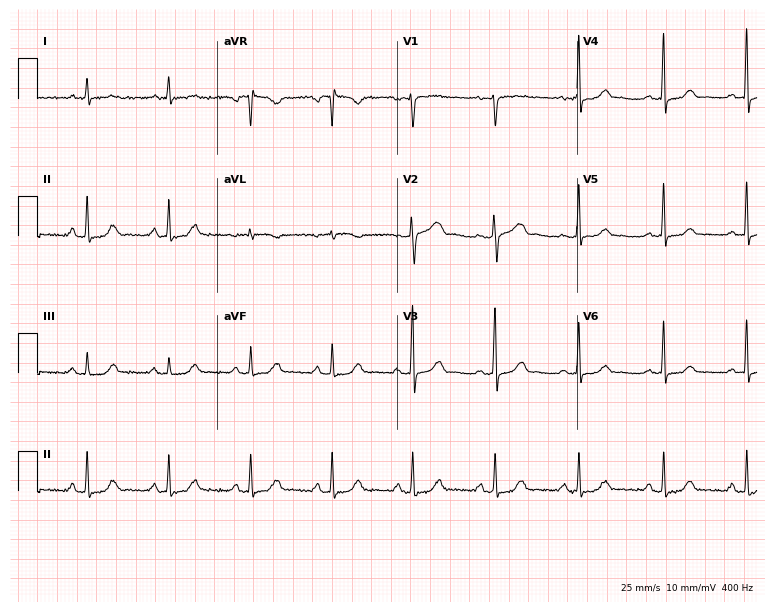
ECG — a 48-year-old woman. Labelled as a normal ECG.